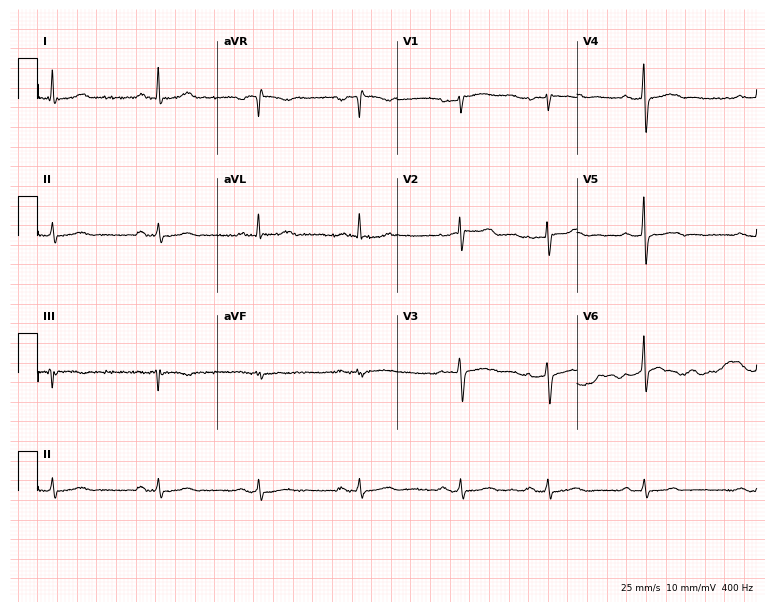
Resting 12-lead electrocardiogram. Patient: a 68-year-old man. None of these six findings is recorded: first-degree AV block, right bundle branch block (RBBB), left bundle branch block (LBBB), sinus bradycardia, atrial fibrillation (AF), sinus tachycardia.